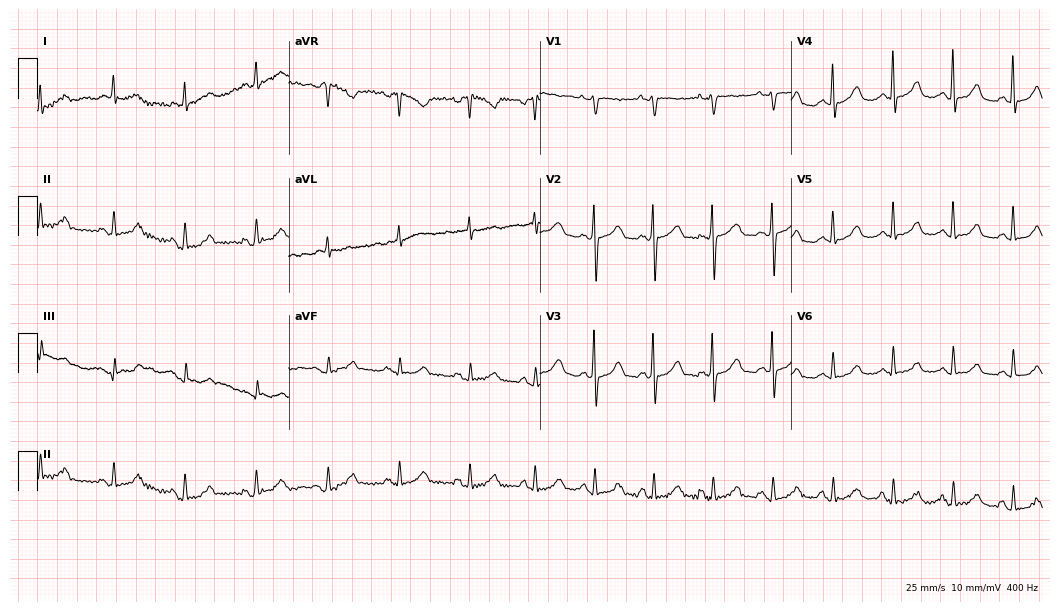
ECG (10.2-second recording at 400 Hz) — a female, 75 years old. Labelled as a normal ECG.